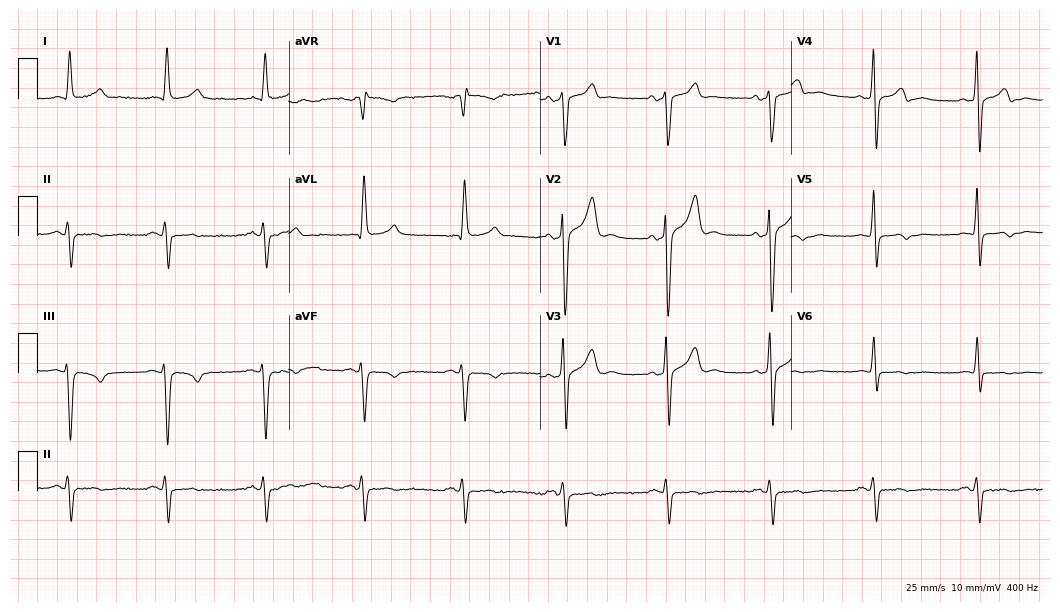
12-lead ECG (10.2-second recording at 400 Hz) from a male patient, 67 years old. Screened for six findings — first-degree AV block, right bundle branch block, left bundle branch block, sinus bradycardia, atrial fibrillation, sinus tachycardia — none is recorded. Findings outside these six are not listed.